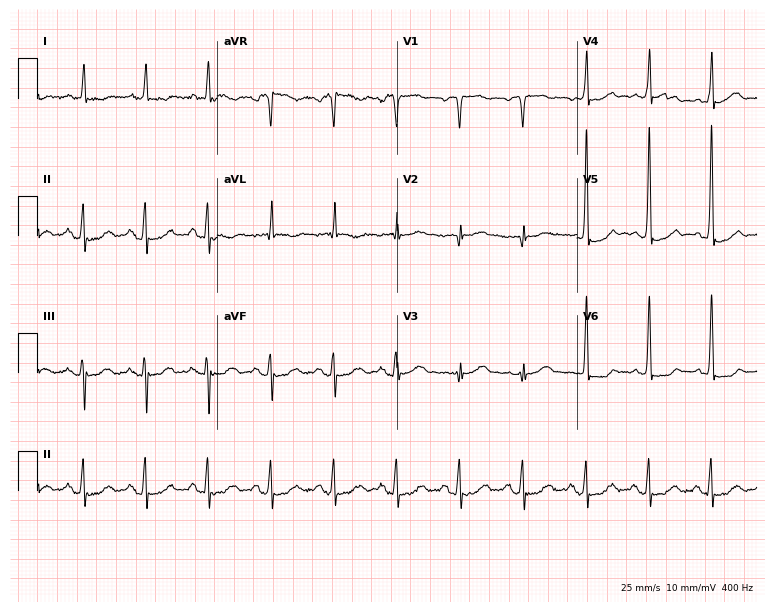
Standard 12-lead ECG recorded from a female patient, 83 years old. None of these six findings is recorded: first-degree AV block, right bundle branch block (RBBB), left bundle branch block (LBBB), sinus bradycardia, atrial fibrillation (AF), sinus tachycardia.